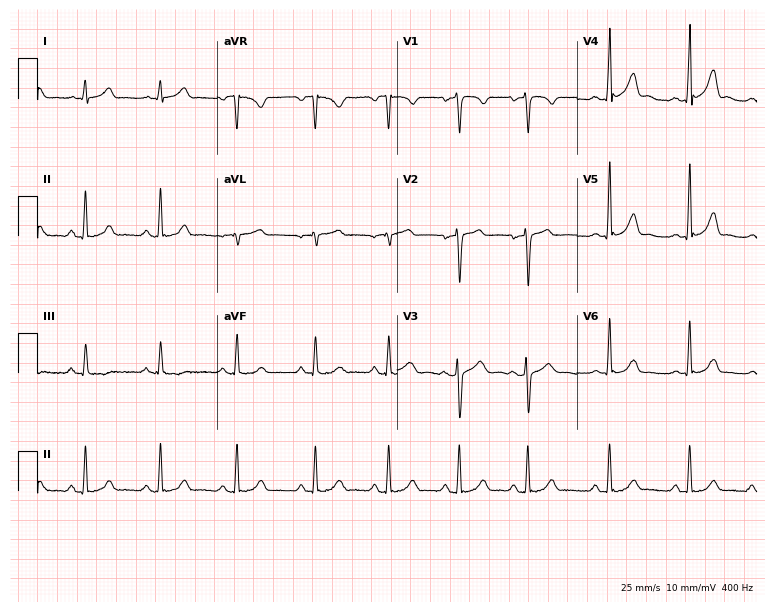
ECG (7.3-second recording at 400 Hz) — a 24-year-old male patient. Labelled as a normal ECG.